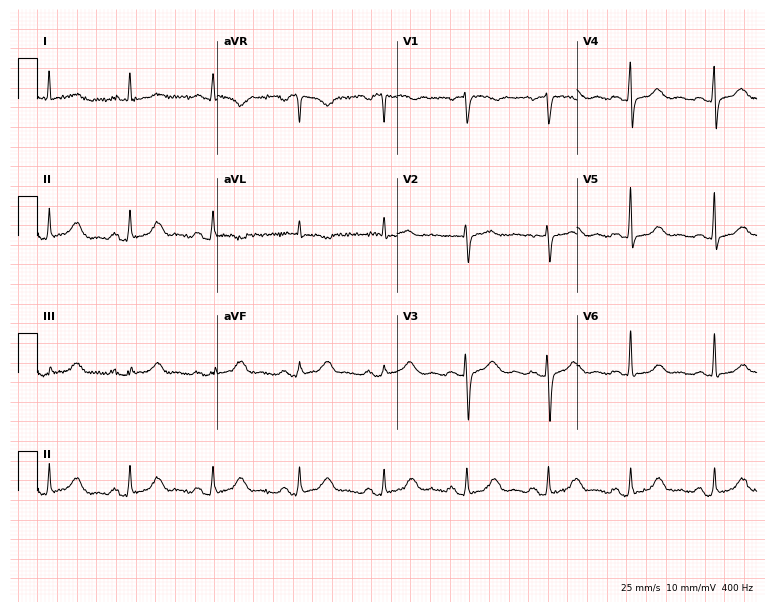
Standard 12-lead ECG recorded from a female patient, 65 years old. Read as a normal ECG.